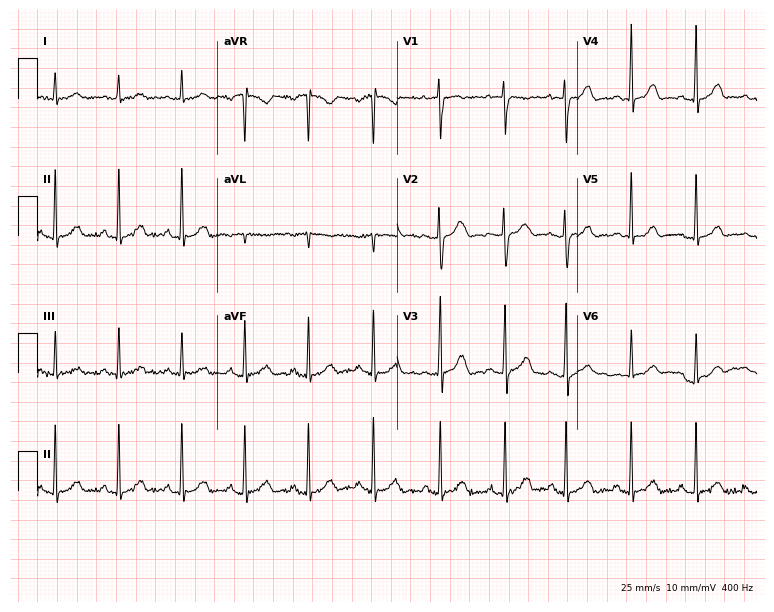
12-lead ECG from a female patient, 18 years old. Labelled as a normal ECG.